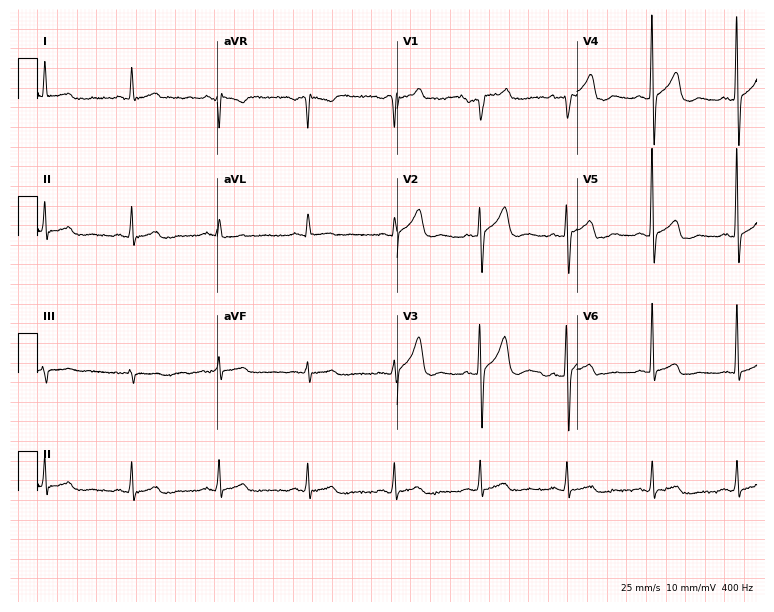
Electrocardiogram, a male, 72 years old. Overall reading on record: normal ECG.